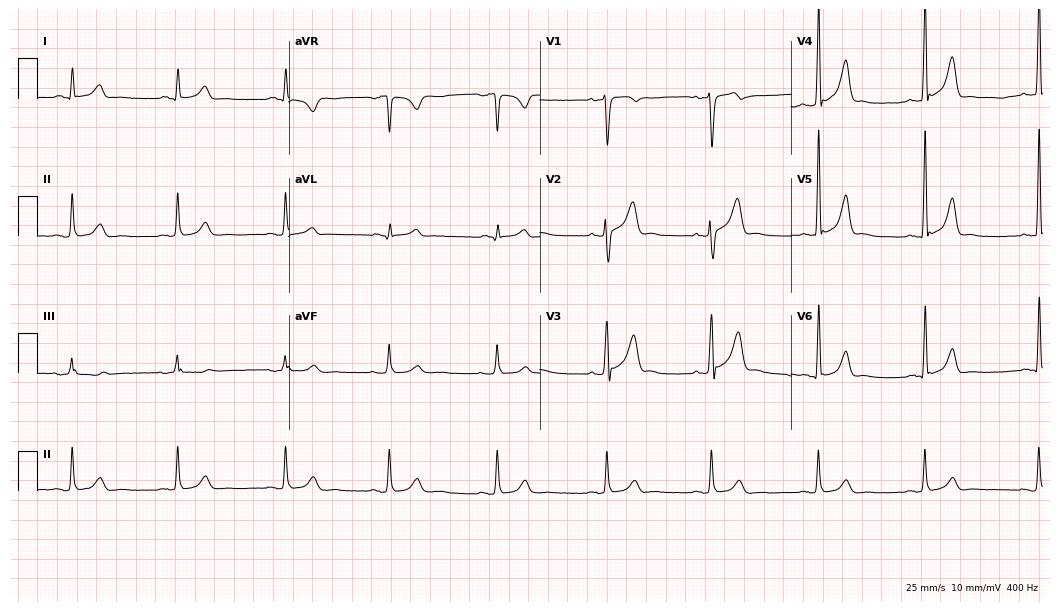
Electrocardiogram (10.2-second recording at 400 Hz), a 39-year-old man. Of the six screened findings (first-degree AV block, right bundle branch block, left bundle branch block, sinus bradycardia, atrial fibrillation, sinus tachycardia), none is recorded.